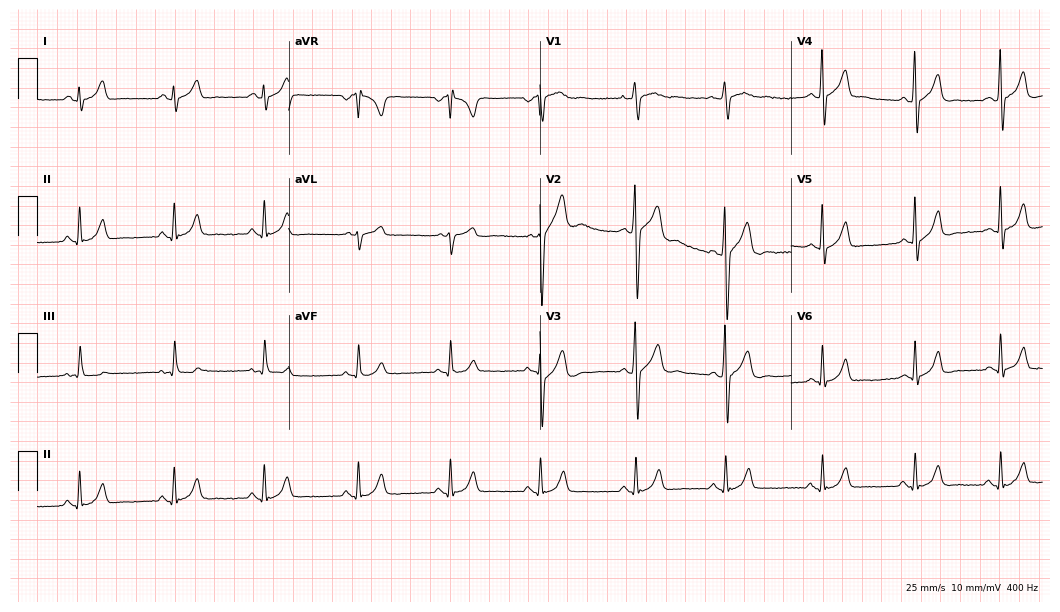
Standard 12-lead ECG recorded from a man, 26 years old (10.2-second recording at 400 Hz). None of these six findings is recorded: first-degree AV block, right bundle branch block (RBBB), left bundle branch block (LBBB), sinus bradycardia, atrial fibrillation (AF), sinus tachycardia.